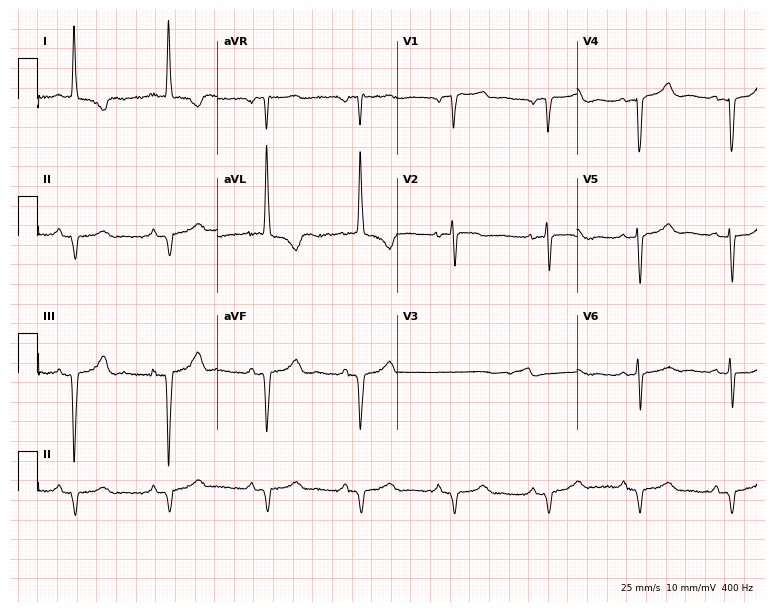
ECG — a woman, 46 years old. Screened for six findings — first-degree AV block, right bundle branch block, left bundle branch block, sinus bradycardia, atrial fibrillation, sinus tachycardia — none is recorded.